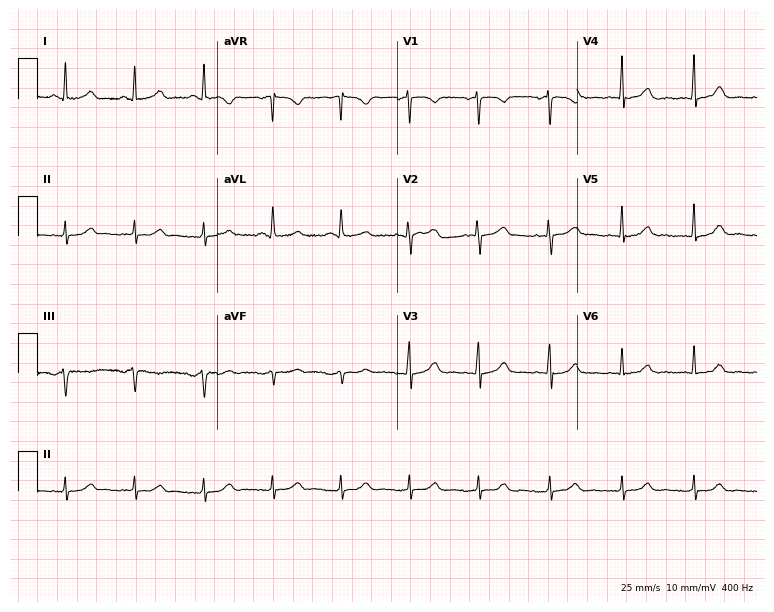
Standard 12-lead ECG recorded from a female patient, 48 years old (7.3-second recording at 400 Hz). Read as a normal ECG.